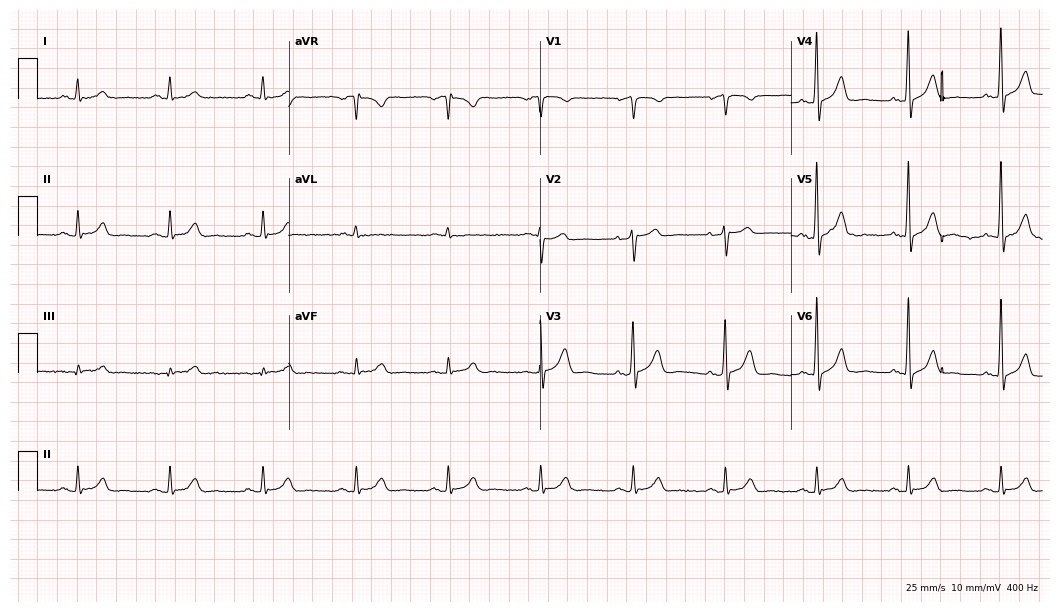
Resting 12-lead electrocardiogram (10.2-second recording at 400 Hz). Patient: a male, 44 years old. Read as a normal ECG.